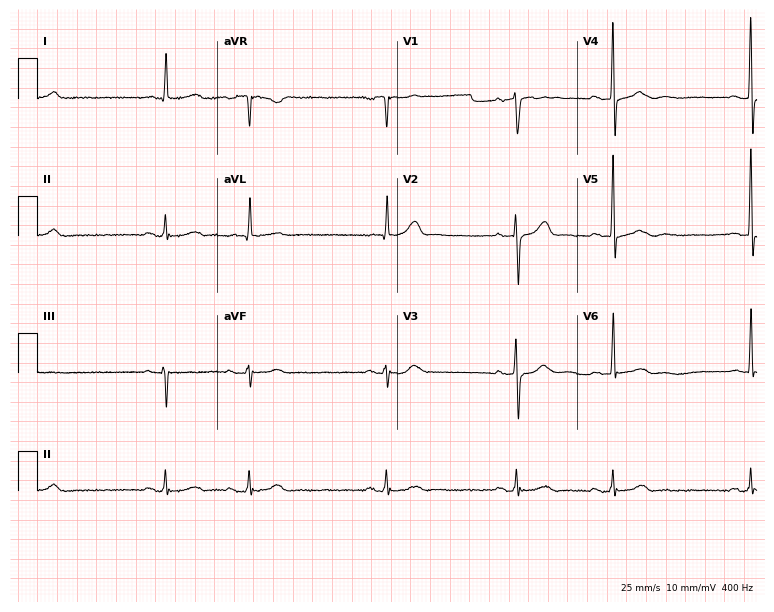
Resting 12-lead electrocardiogram (7.3-second recording at 400 Hz). Patient: a man, 85 years old. The tracing shows sinus bradycardia (a sinus rate of 50 beats per minute or less).